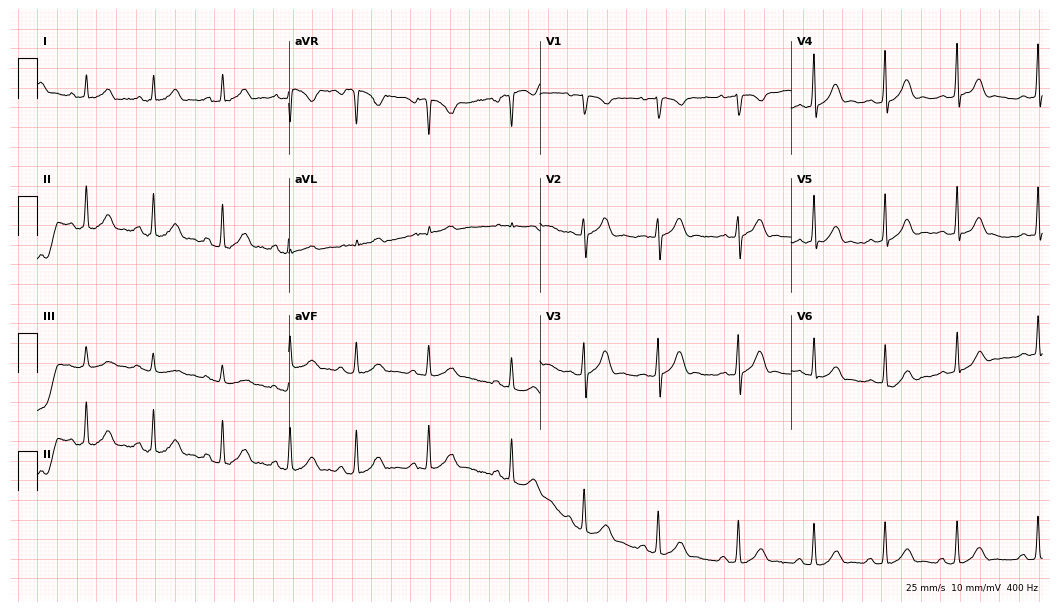
ECG (10.2-second recording at 400 Hz) — a female patient, 17 years old. Labelled as a normal ECG.